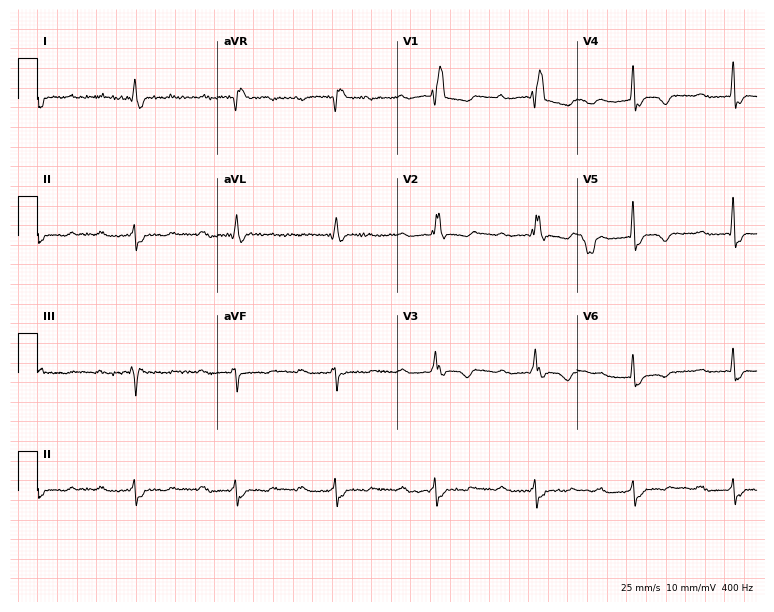
12-lead ECG from a 79-year-old woman (7.3-second recording at 400 Hz). No first-degree AV block, right bundle branch block, left bundle branch block, sinus bradycardia, atrial fibrillation or sinus tachycardia recorded for this tracing. Findings outside these six are not listed.